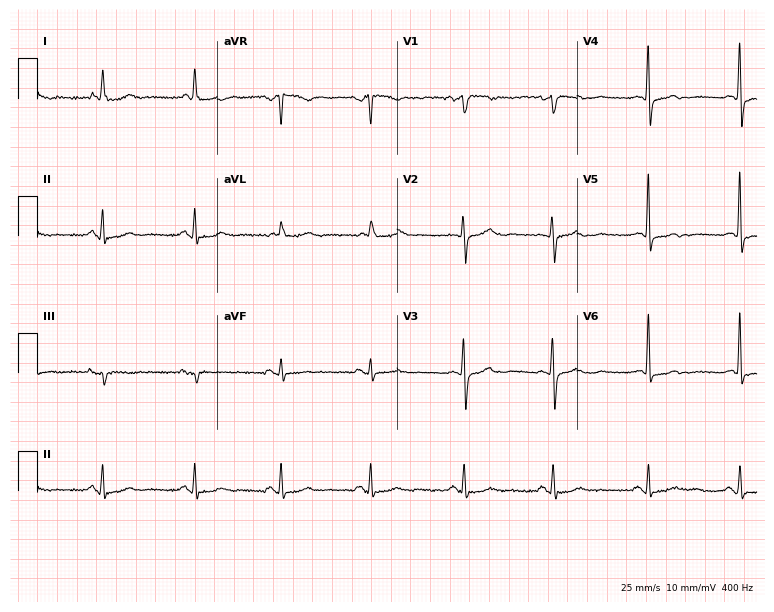
12-lead ECG from a female, 52 years old (7.3-second recording at 400 Hz). No first-degree AV block, right bundle branch block, left bundle branch block, sinus bradycardia, atrial fibrillation or sinus tachycardia recorded for this tracing.